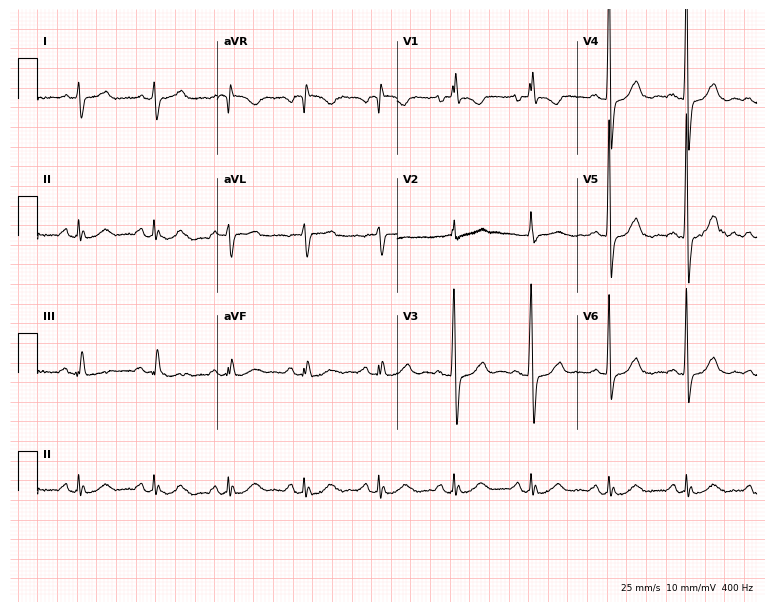
12-lead ECG from a 74-year-old male patient (7.3-second recording at 400 Hz). No first-degree AV block, right bundle branch block (RBBB), left bundle branch block (LBBB), sinus bradycardia, atrial fibrillation (AF) or sinus tachycardia recorded for this tracing. Only these six findings were labelled.